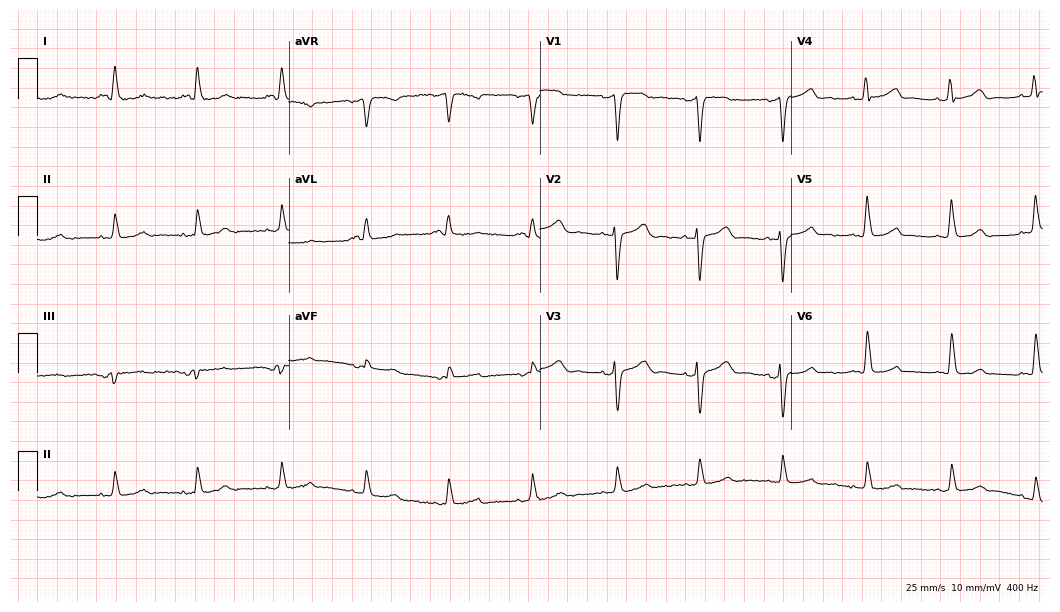
12-lead ECG from a 52-year-old male (10.2-second recording at 400 Hz). No first-degree AV block, right bundle branch block (RBBB), left bundle branch block (LBBB), sinus bradycardia, atrial fibrillation (AF) or sinus tachycardia recorded for this tracing.